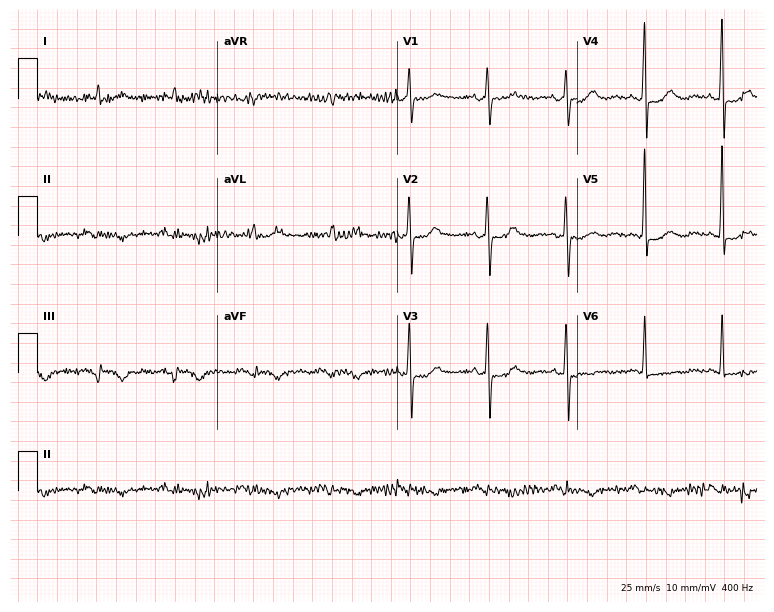
ECG — an 83-year-old female patient. Screened for six findings — first-degree AV block, right bundle branch block (RBBB), left bundle branch block (LBBB), sinus bradycardia, atrial fibrillation (AF), sinus tachycardia — none is recorded.